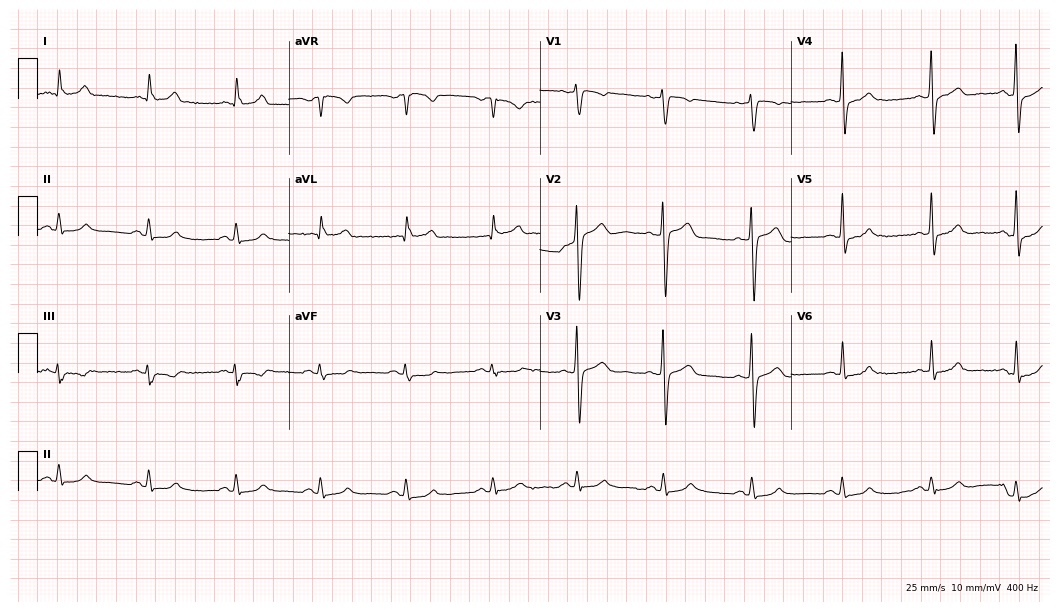
Electrocardiogram (10.2-second recording at 400 Hz), a 64-year-old man. Overall reading on record: normal ECG.